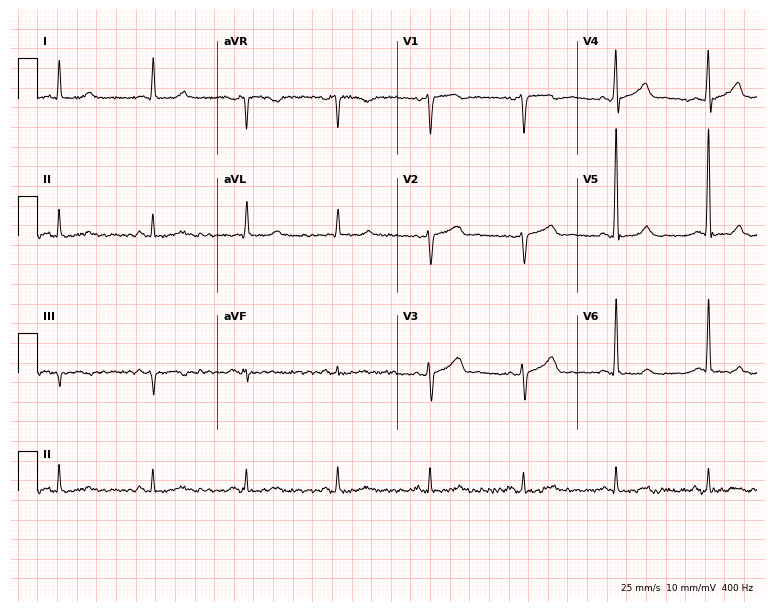
12-lead ECG from a 75-year-old man. Labelled as a normal ECG.